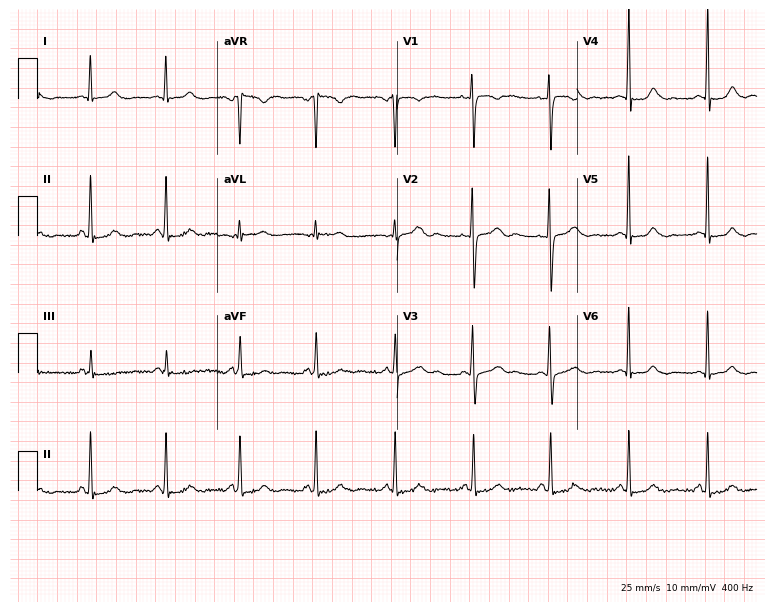
Standard 12-lead ECG recorded from a 31-year-old female patient (7.3-second recording at 400 Hz). Read as a normal ECG.